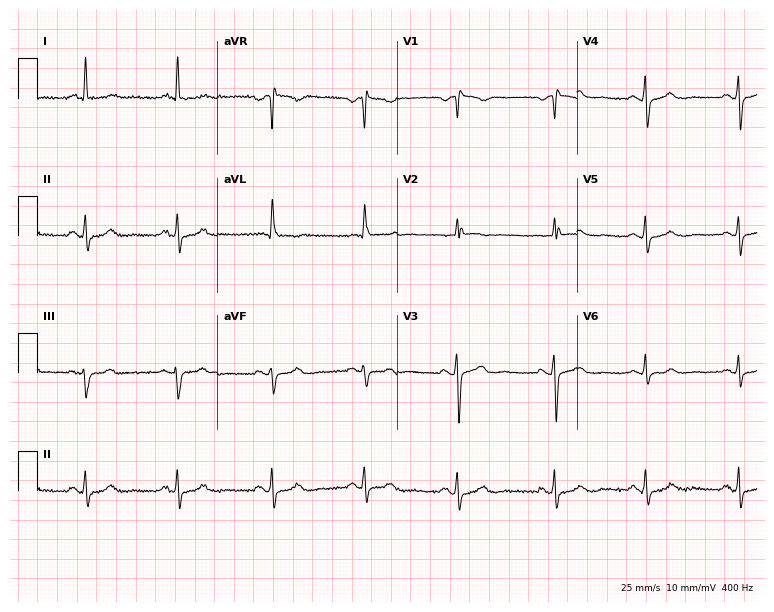
12-lead ECG from a female patient, 64 years old. Screened for six findings — first-degree AV block, right bundle branch block, left bundle branch block, sinus bradycardia, atrial fibrillation, sinus tachycardia — none is recorded.